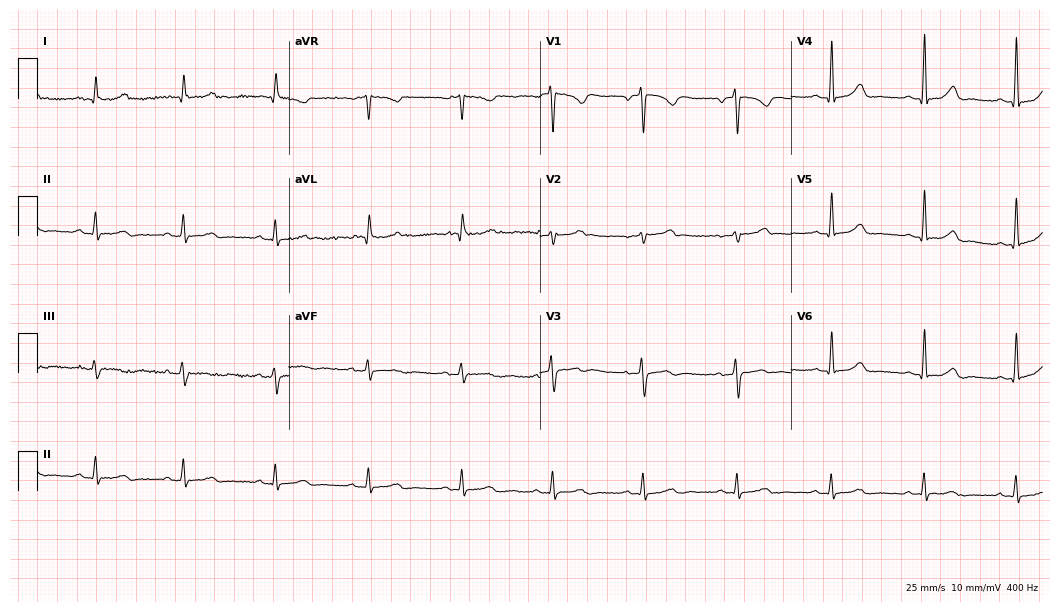
Standard 12-lead ECG recorded from a 56-year-old female (10.2-second recording at 400 Hz). None of these six findings is recorded: first-degree AV block, right bundle branch block, left bundle branch block, sinus bradycardia, atrial fibrillation, sinus tachycardia.